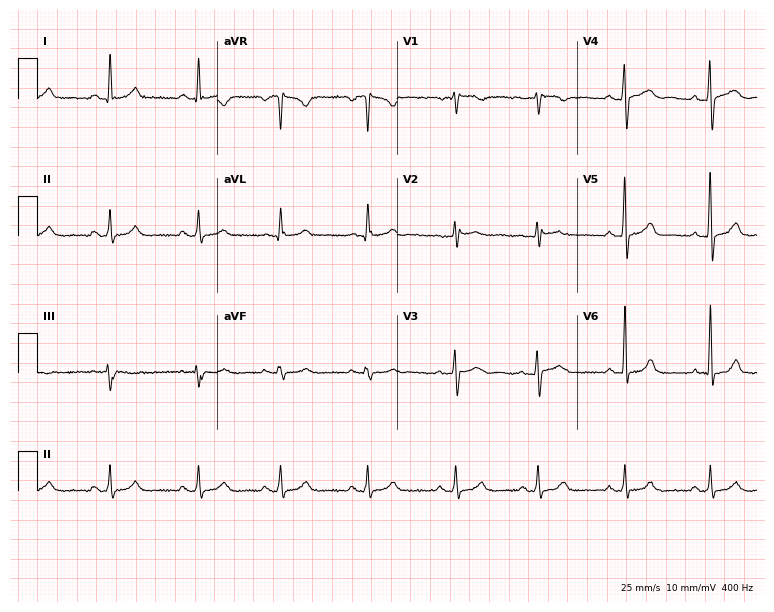
12-lead ECG (7.3-second recording at 400 Hz) from a 37-year-old female. Labelled as a normal ECG.